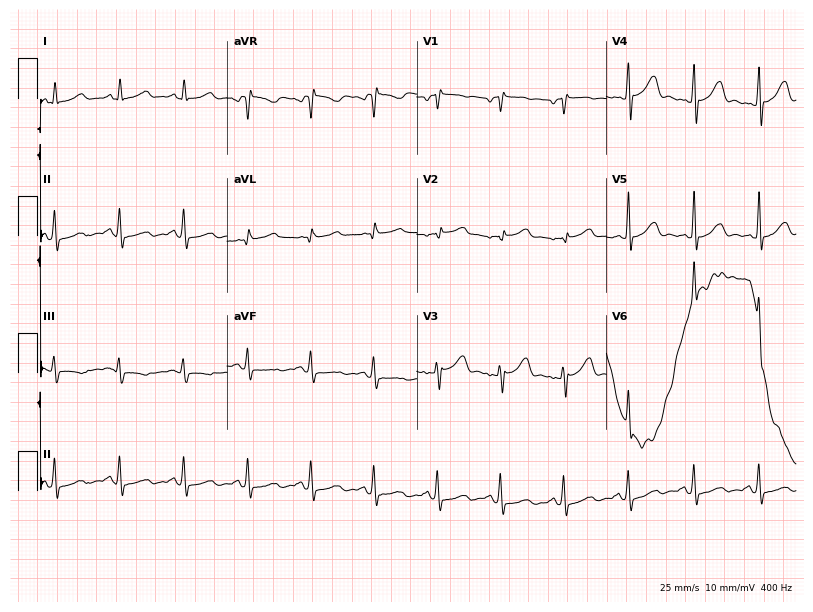
Resting 12-lead electrocardiogram (7.7-second recording at 400 Hz). Patient: a female, 70 years old. None of these six findings is recorded: first-degree AV block, right bundle branch block, left bundle branch block, sinus bradycardia, atrial fibrillation, sinus tachycardia. Only these six findings were labelled.